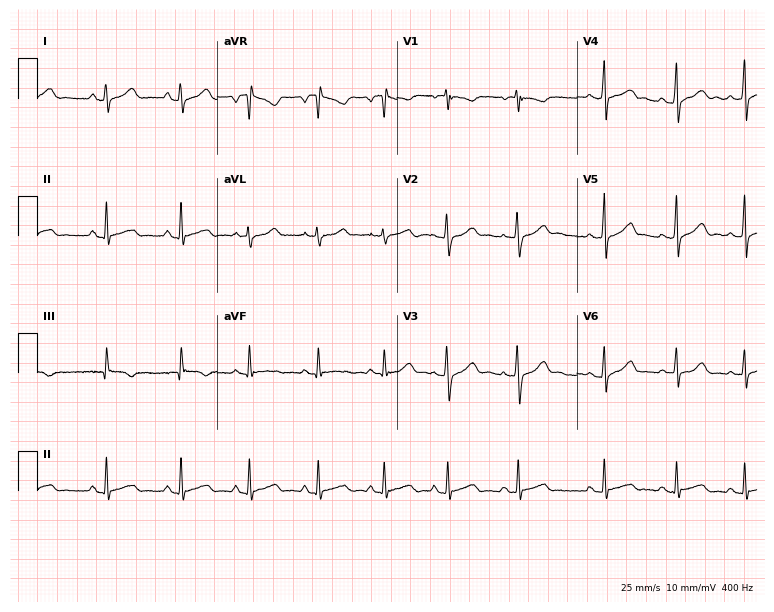
12-lead ECG (7.3-second recording at 400 Hz) from a 21-year-old female. Labelled as a normal ECG.